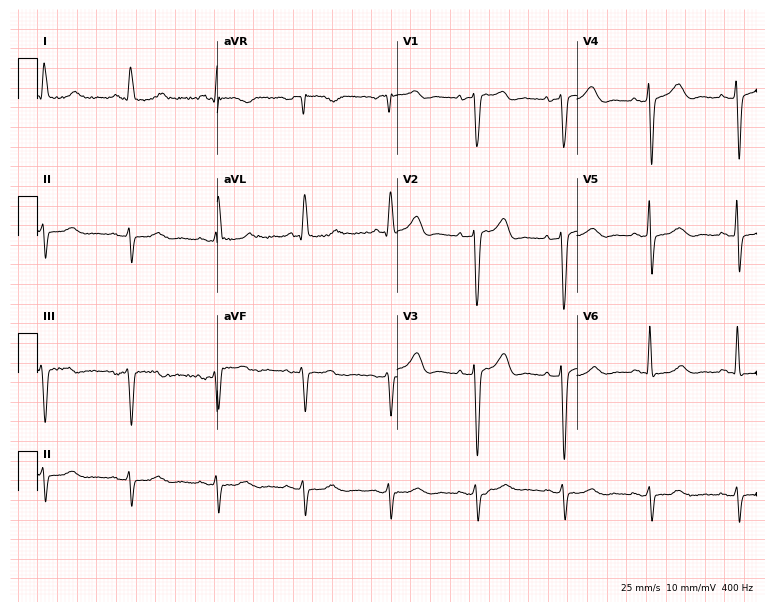
Electrocardiogram, an 82-year-old male. Of the six screened findings (first-degree AV block, right bundle branch block (RBBB), left bundle branch block (LBBB), sinus bradycardia, atrial fibrillation (AF), sinus tachycardia), none is recorded. Only these six findings were labelled.